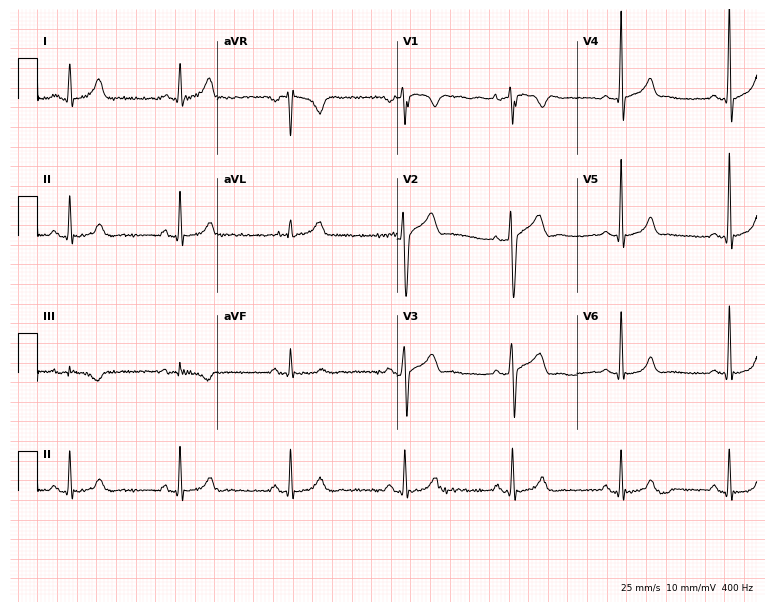
Electrocardiogram, a 39-year-old male patient. Of the six screened findings (first-degree AV block, right bundle branch block, left bundle branch block, sinus bradycardia, atrial fibrillation, sinus tachycardia), none is recorded.